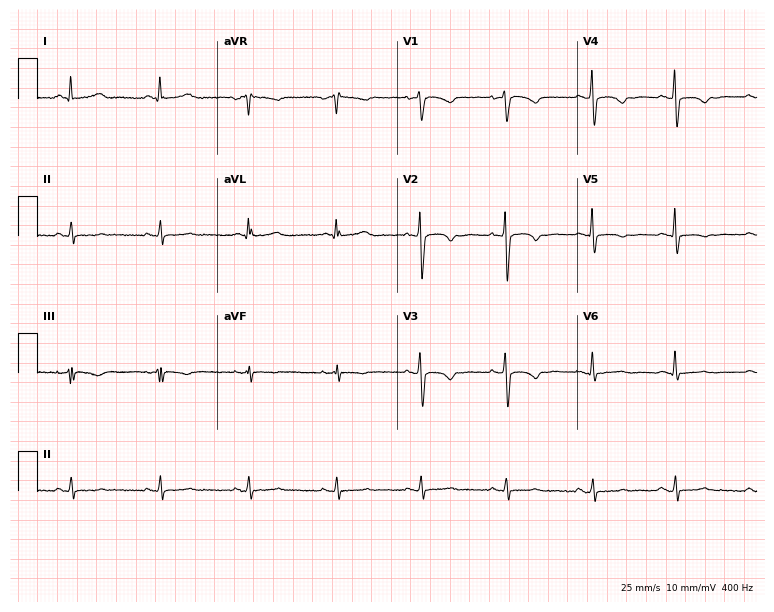
Standard 12-lead ECG recorded from a 48-year-old female patient. None of these six findings is recorded: first-degree AV block, right bundle branch block (RBBB), left bundle branch block (LBBB), sinus bradycardia, atrial fibrillation (AF), sinus tachycardia.